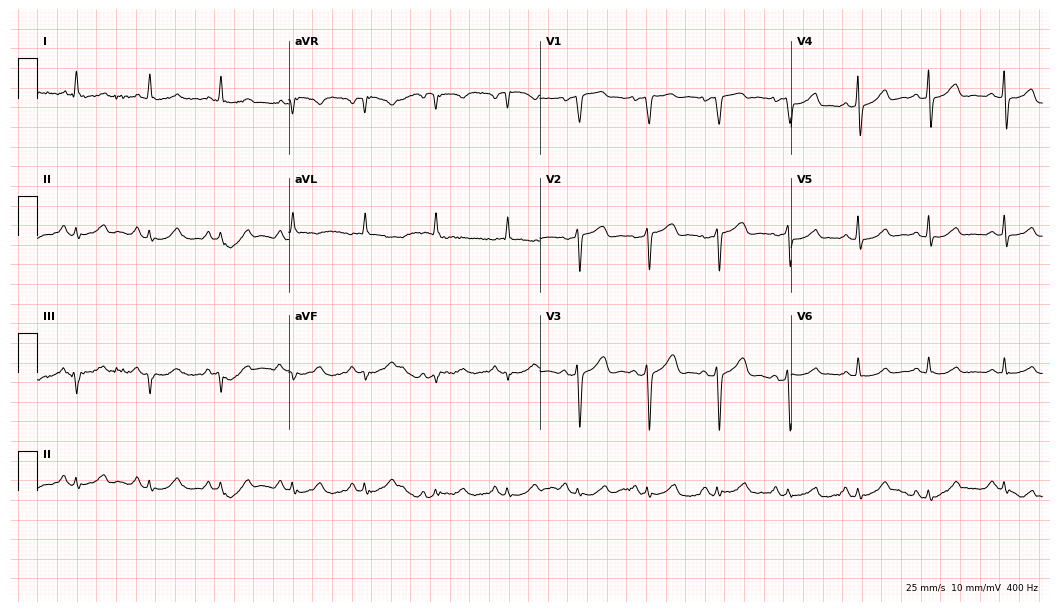
Resting 12-lead electrocardiogram. Patient: a 57-year-old female. Read as a normal ECG.